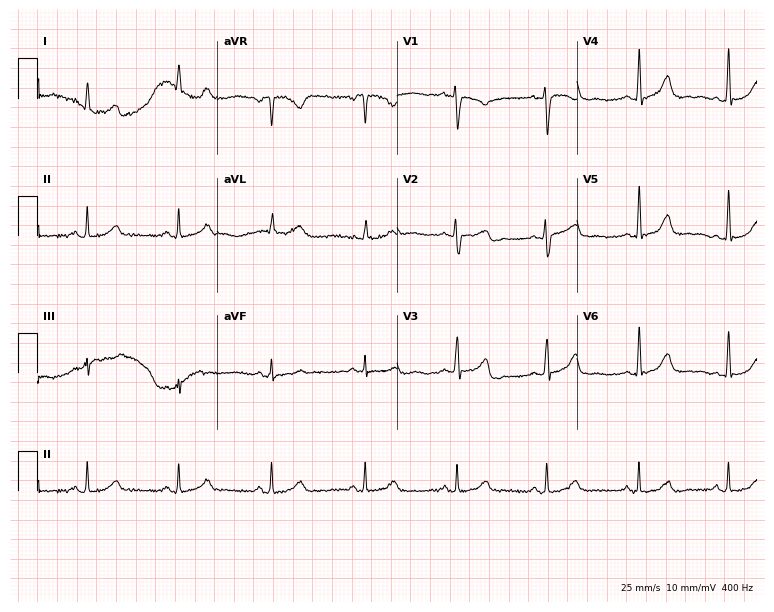
Electrocardiogram, a woman, 32 years old. Overall reading on record: normal ECG.